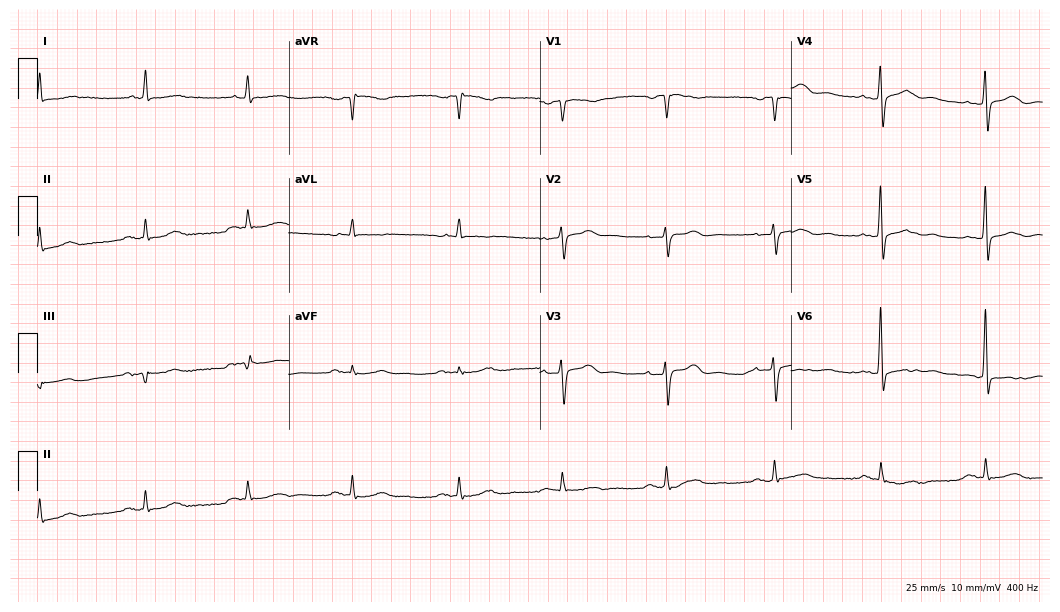
ECG (10.2-second recording at 400 Hz) — a male patient, 77 years old. Labelled as a normal ECG.